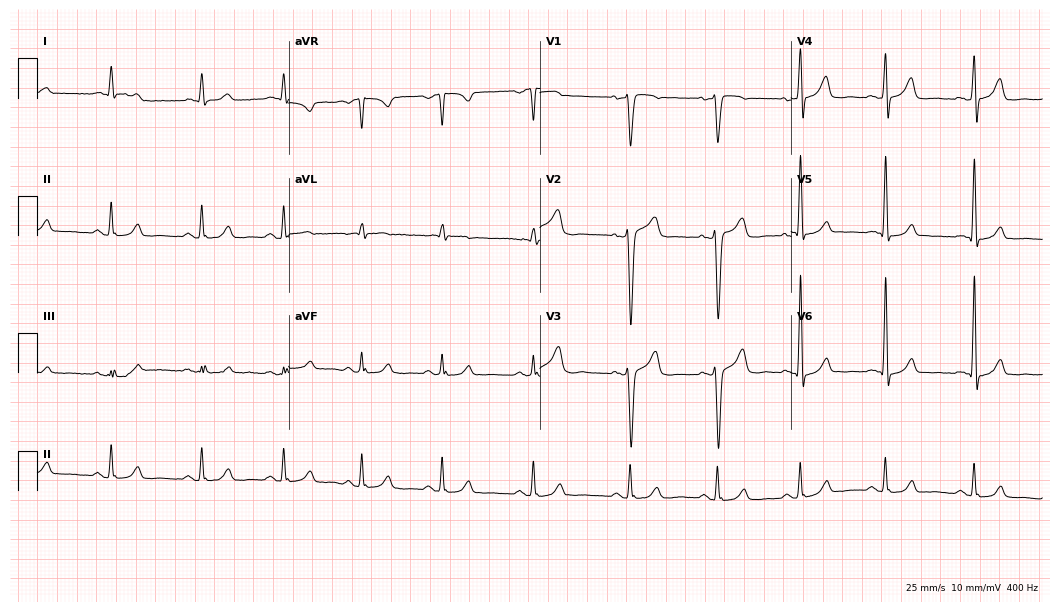
12-lead ECG (10.2-second recording at 400 Hz) from a male patient, 41 years old. Labelled as a normal ECG.